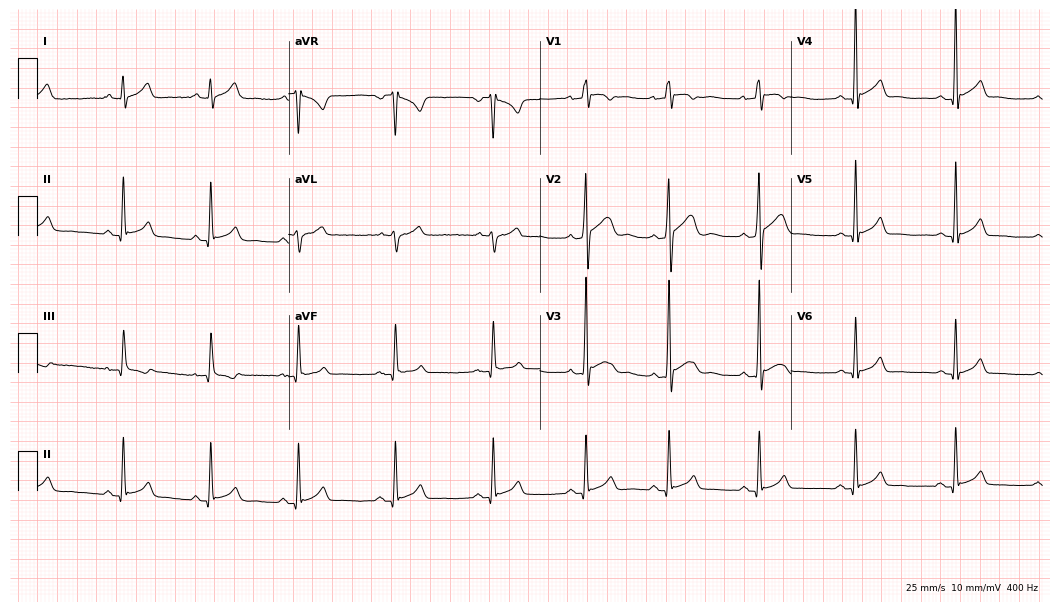
12-lead ECG from a man, 20 years old (10.2-second recording at 400 Hz). Recorded interpretation: within normal limits.